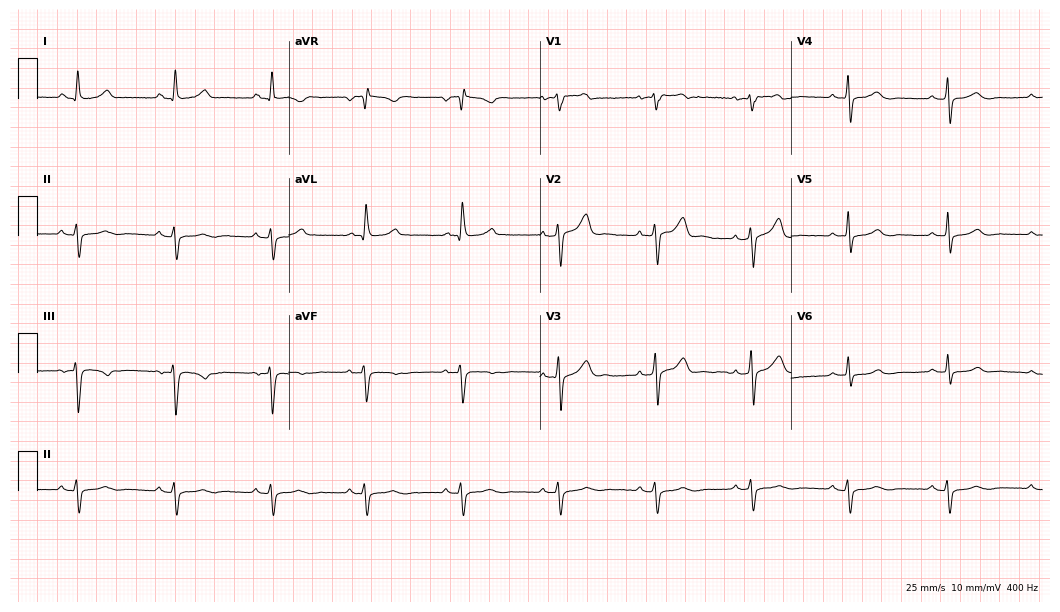
Standard 12-lead ECG recorded from a female, 56 years old. None of these six findings is recorded: first-degree AV block, right bundle branch block (RBBB), left bundle branch block (LBBB), sinus bradycardia, atrial fibrillation (AF), sinus tachycardia. Findings outside these six are not listed.